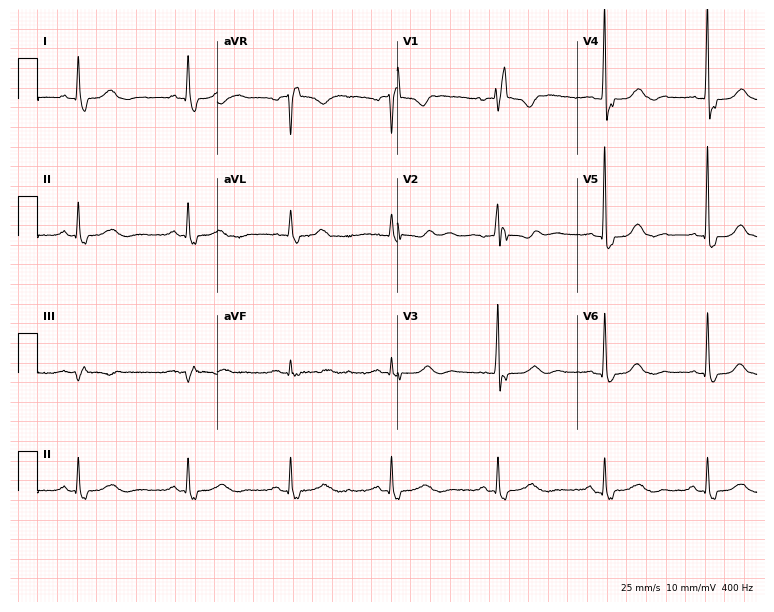
Standard 12-lead ECG recorded from a woman, 75 years old (7.3-second recording at 400 Hz). The tracing shows right bundle branch block (RBBB).